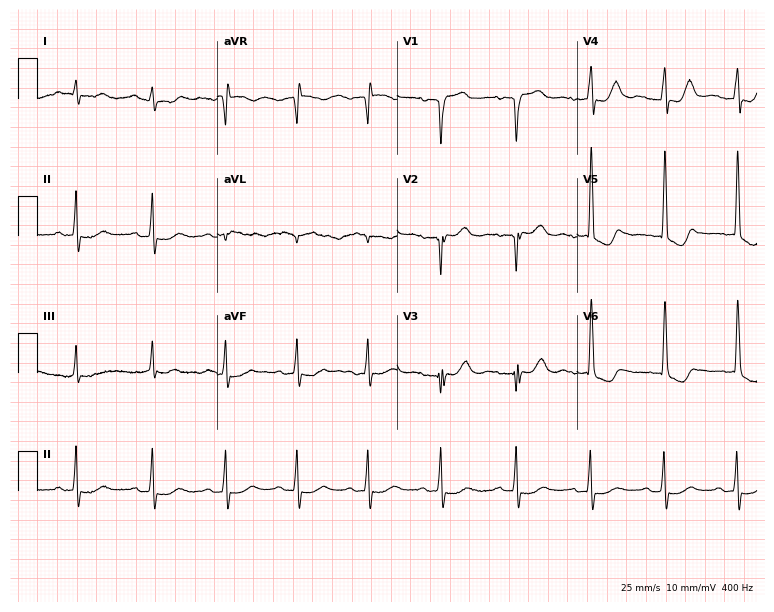
Electrocardiogram (7.3-second recording at 400 Hz), a woman, 82 years old. Of the six screened findings (first-degree AV block, right bundle branch block, left bundle branch block, sinus bradycardia, atrial fibrillation, sinus tachycardia), none is recorded.